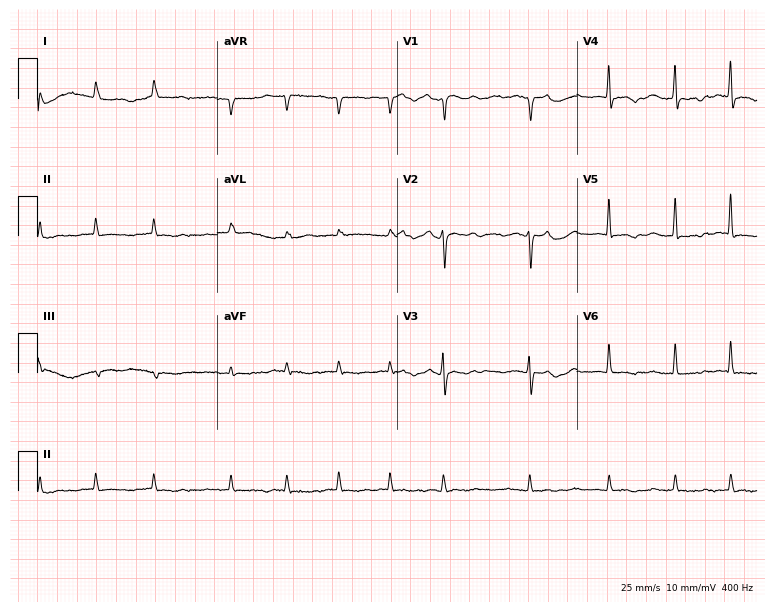
Resting 12-lead electrocardiogram. Patient: an 82-year-old woman. None of these six findings is recorded: first-degree AV block, right bundle branch block, left bundle branch block, sinus bradycardia, atrial fibrillation, sinus tachycardia.